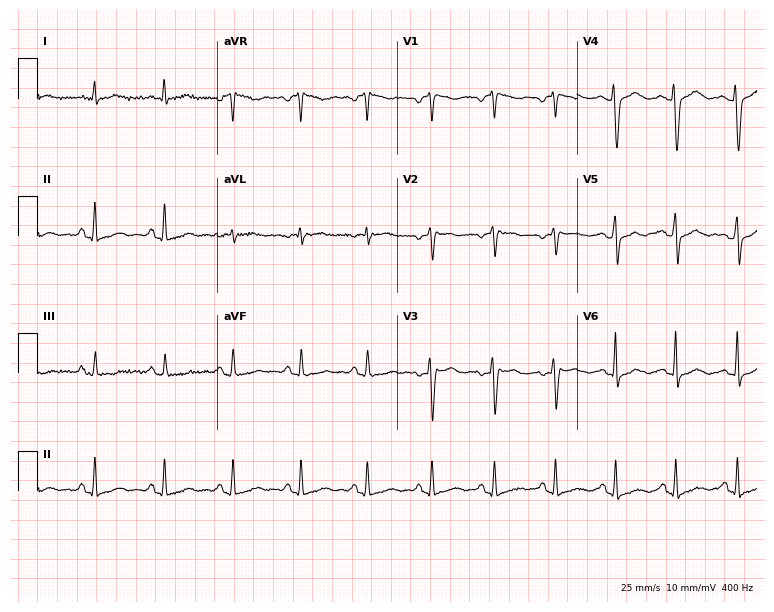
Standard 12-lead ECG recorded from a 44-year-old female (7.3-second recording at 400 Hz). None of these six findings is recorded: first-degree AV block, right bundle branch block (RBBB), left bundle branch block (LBBB), sinus bradycardia, atrial fibrillation (AF), sinus tachycardia.